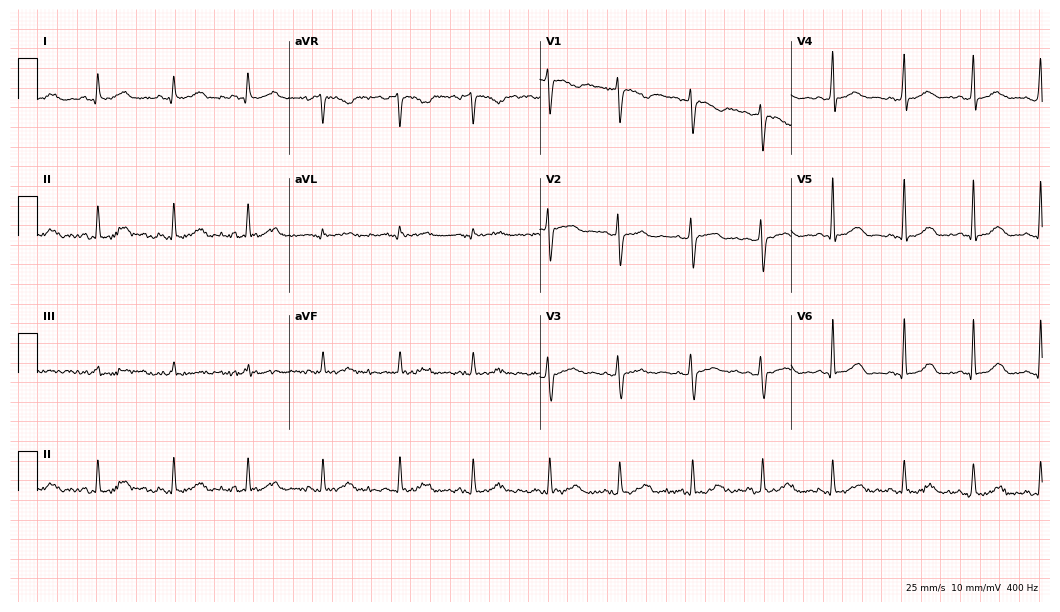
12-lead ECG (10.2-second recording at 400 Hz) from a female patient, 26 years old. Screened for six findings — first-degree AV block, right bundle branch block (RBBB), left bundle branch block (LBBB), sinus bradycardia, atrial fibrillation (AF), sinus tachycardia — none is recorded. Findings outside these six are not listed.